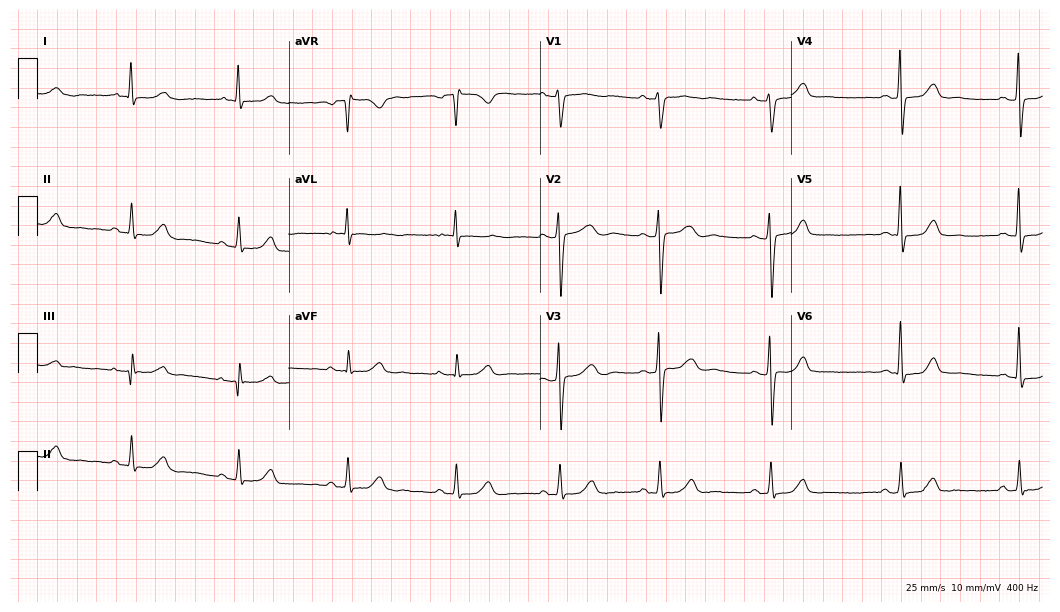
Standard 12-lead ECG recorded from a 60-year-old female patient. None of these six findings is recorded: first-degree AV block, right bundle branch block, left bundle branch block, sinus bradycardia, atrial fibrillation, sinus tachycardia.